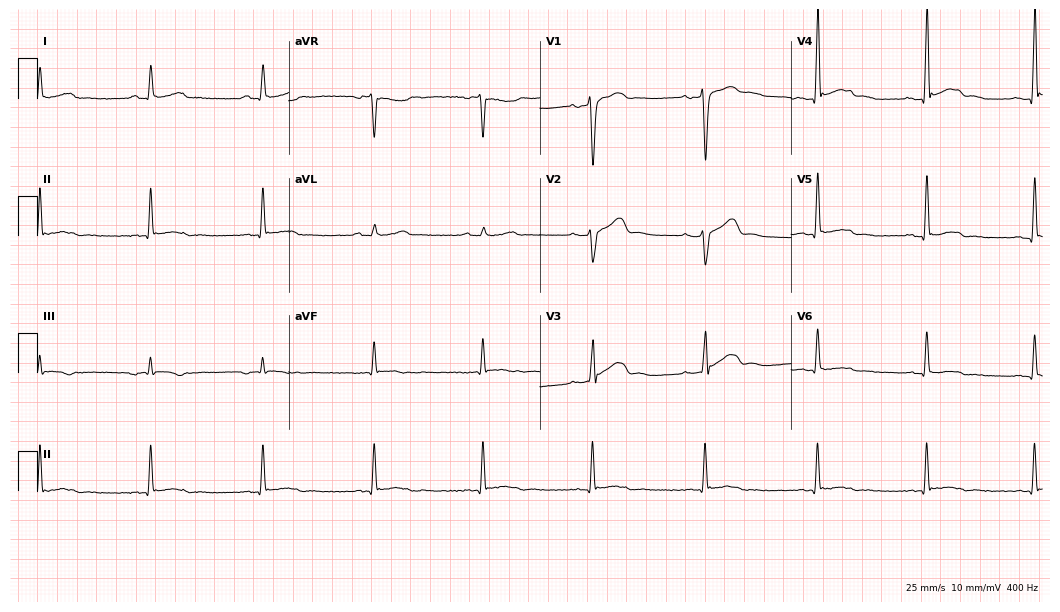
Resting 12-lead electrocardiogram. Patient: a male, 42 years old. None of these six findings is recorded: first-degree AV block, right bundle branch block, left bundle branch block, sinus bradycardia, atrial fibrillation, sinus tachycardia.